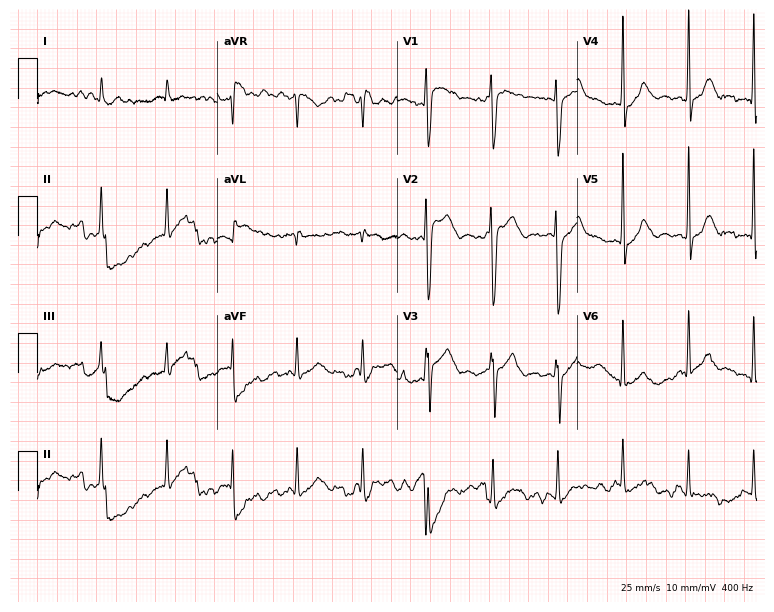
Electrocardiogram (7.3-second recording at 400 Hz), a 36-year-old female patient. Of the six screened findings (first-degree AV block, right bundle branch block, left bundle branch block, sinus bradycardia, atrial fibrillation, sinus tachycardia), none is recorded. Other findings, if any, are not listed.